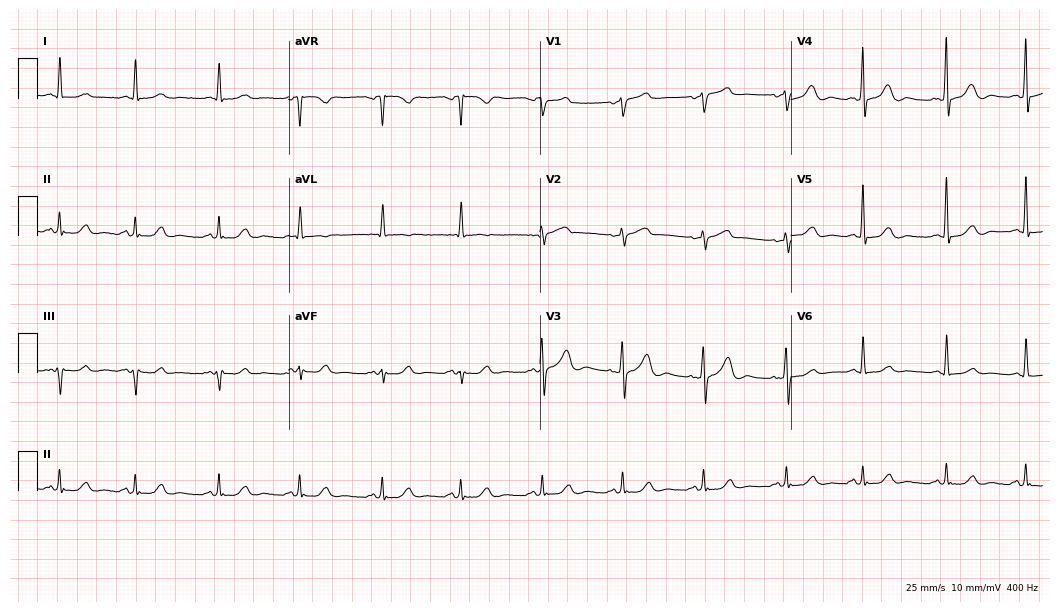
Electrocardiogram, a woman, 79 years old. Overall reading on record: normal ECG.